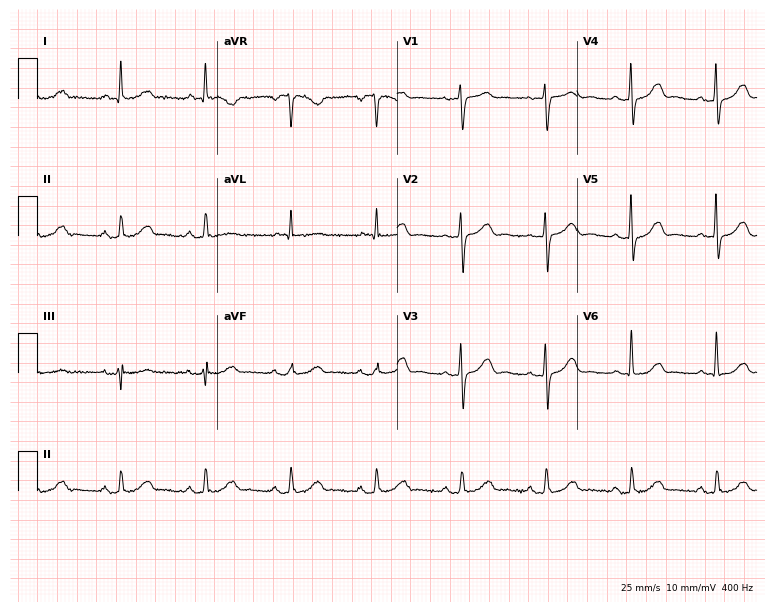
12-lead ECG from an 81-year-old female patient. No first-degree AV block, right bundle branch block (RBBB), left bundle branch block (LBBB), sinus bradycardia, atrial fibrillation (AF) or sinus tachycardia recorded for this tracing. Other findings, if any, are not listed.